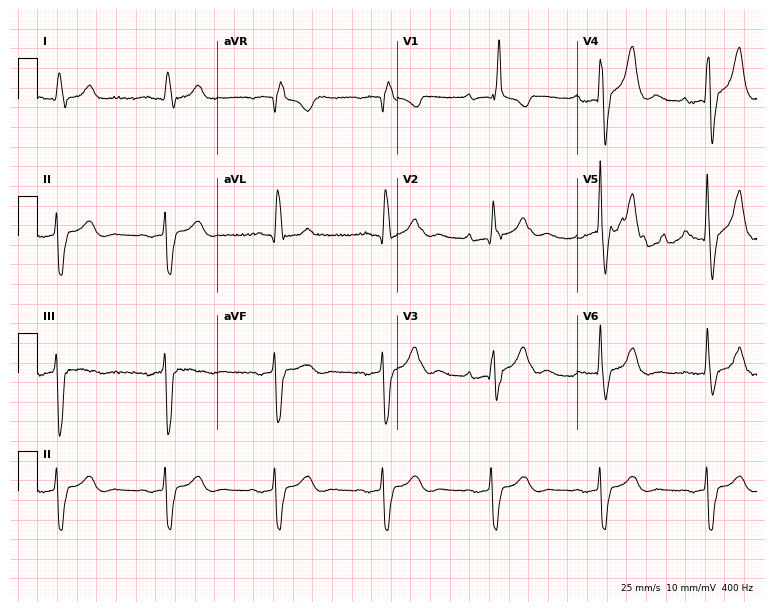
12-lead ECG from a woman, 76 years old. Shows first-degree AV block, right bundle branch block.